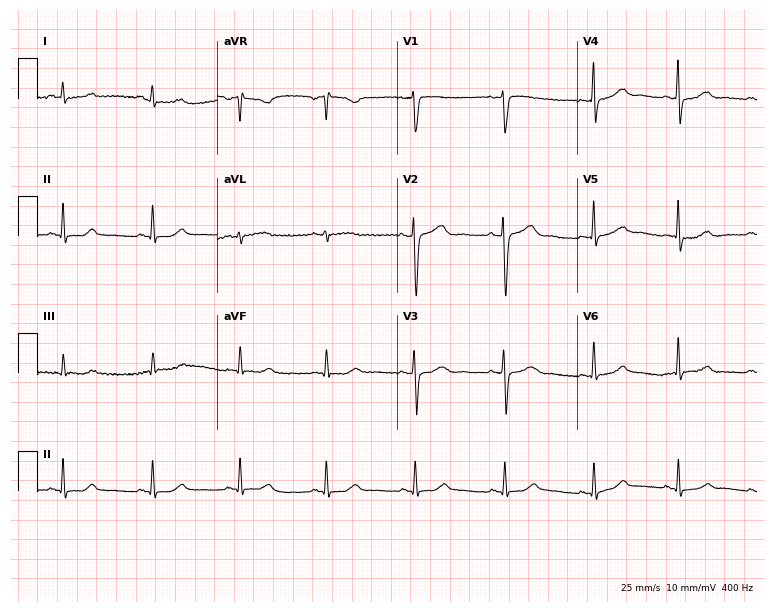
Electrocardiogram, a 49-year-old female patient. Of the six screened findings (first-degree AV block, right bundle branch block, left bundle branch block, sinus bradycardia, atrial fibrillation, sinus tachycardia), none is recorded.